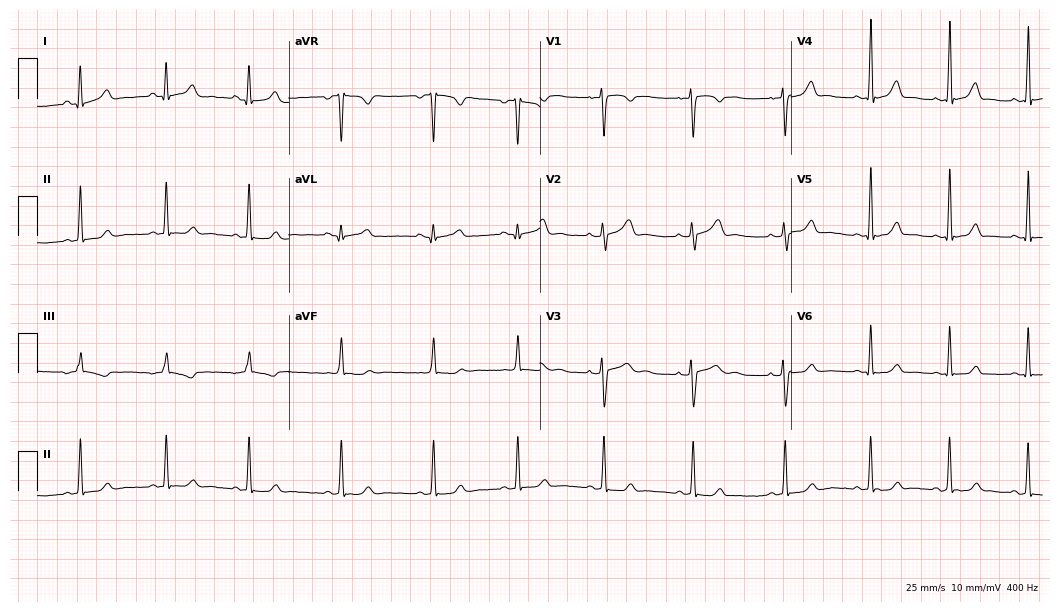
Resting 12-lead electrocardiogram (10.2-second recording at 400 Hz). Patient: a 24-year-old female. None of these six findings is recorded: first-degree AV block, right bundle branch block, left bundle branch block, sinus bradycardia, atrial fibrillation, sinus tachycardia. Other findings, if any, are not listed.